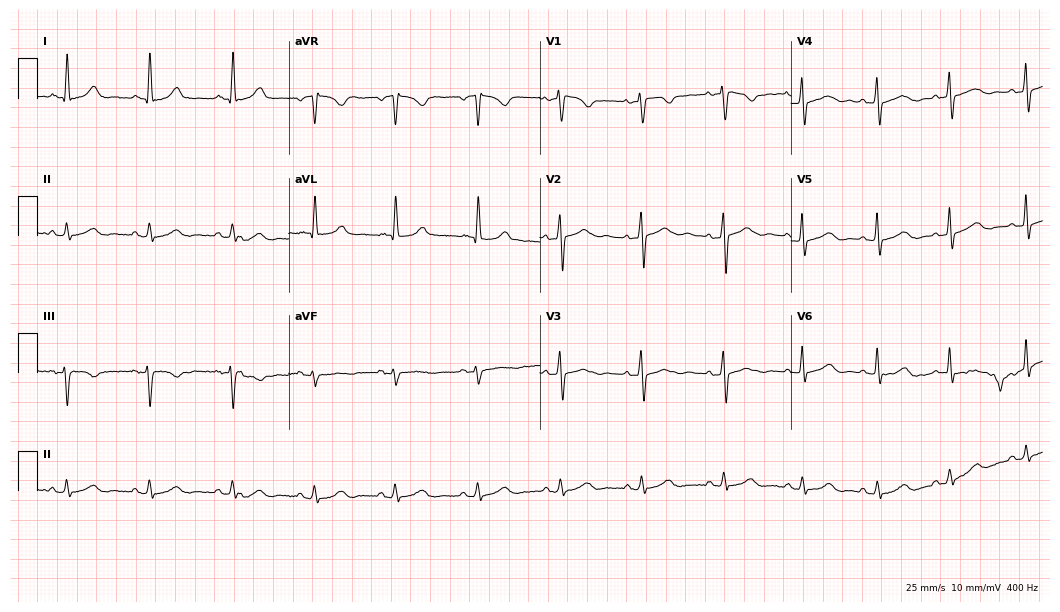
Standard 12-lead ECG recorded from a female, 63 years old. Read as a normal ECG.